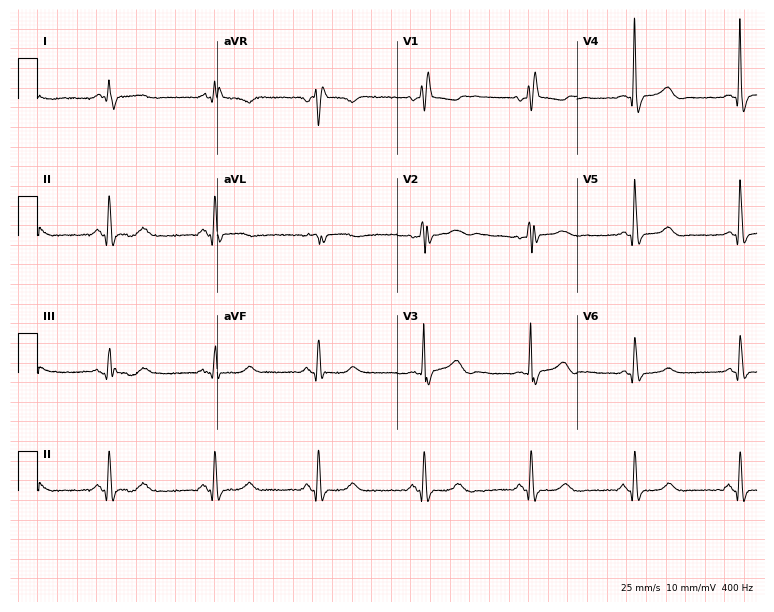
ECG — a 68-year-old female patient. Findings include right bundle branch block.